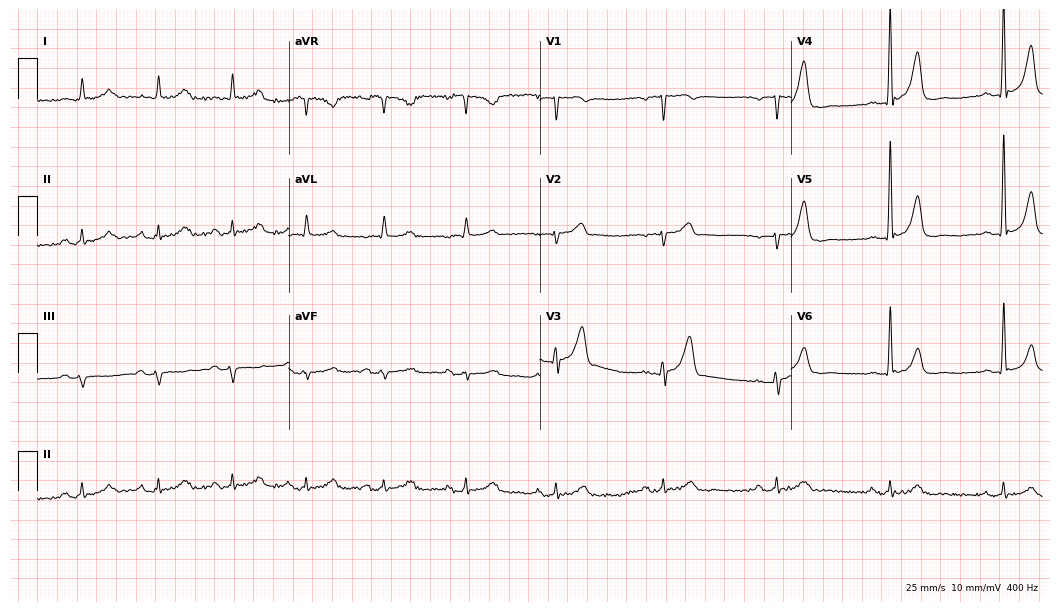
Standard 12-lead ECG recorded from a man, 81 years old (10.2-second recording at 400 Hz). Read as a normal ECG.